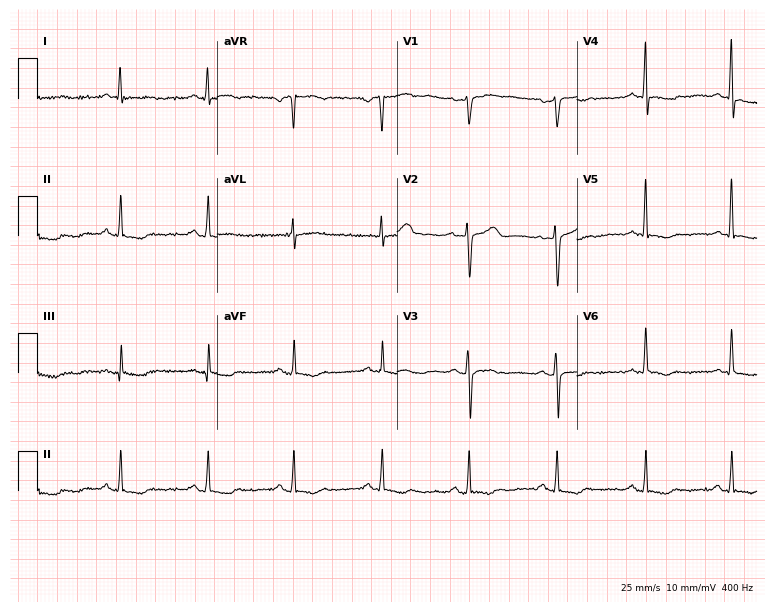
ECG — a 61-year-old female. Screened for six findings — first-degree AV block, right bundle branch block, left bundle branch block, sinus bradycardia, atrial fibrillation, sinus tachycardia — none is recorded.